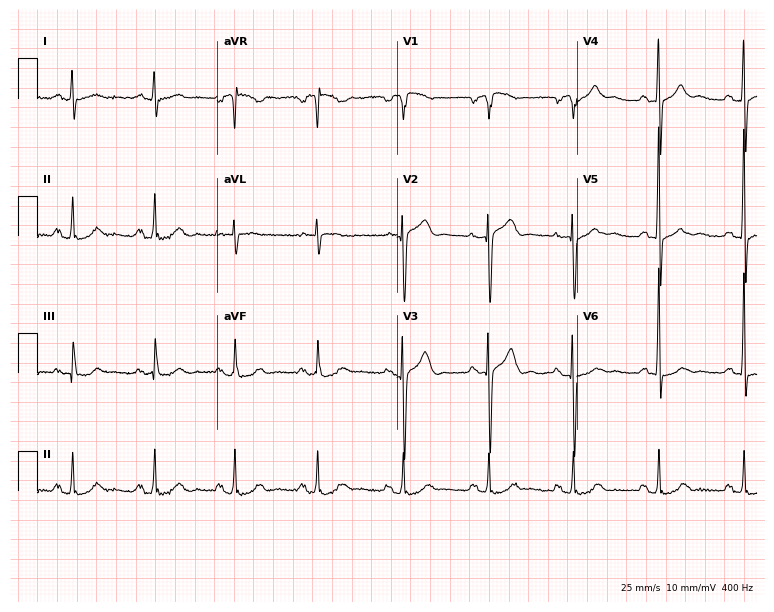
12-lead ECG (7.3-second recording at 400 Hz) from a 67-year-old male. Screened for six findings — first-degree AV block, right bundle branch block (RBBB), left bundle branch block (LBBB), sinus bradycardia, atrial fibrillation (AF), sinus tachycardia — none is recorded.